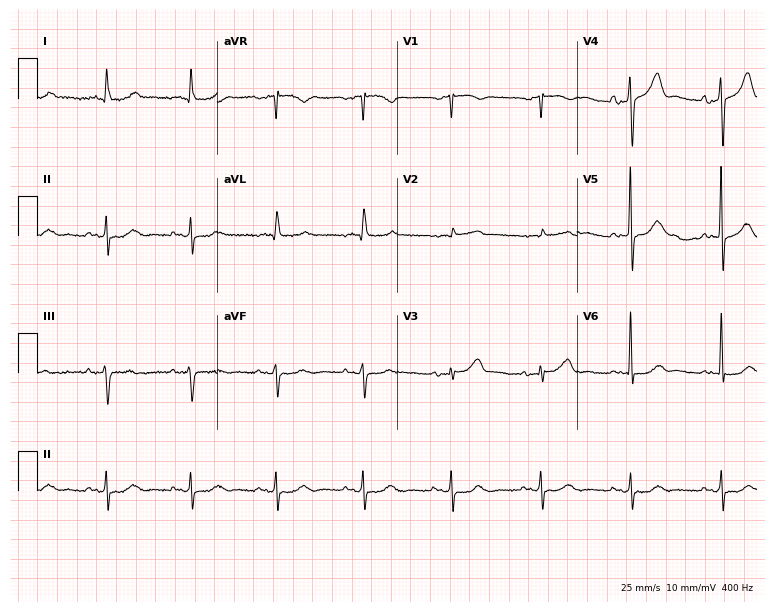
Resting 12-lead electrocardiogram (7.3-second recording at 400 Hz). Patient: an 82-year-old man. Read as a normal ECG.